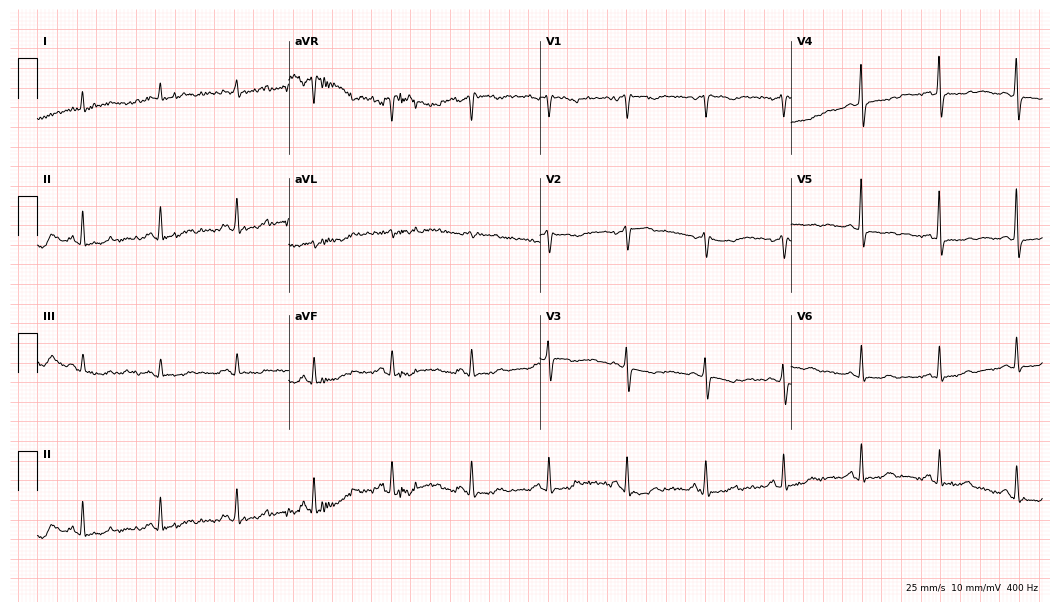
Resting 12-lead electrocardiogram (10.2-second recording at 400 Hz). Patient: a female, 58 years old. None of these six findings is recorded: first-degree AV block, right bundle branch block, left bundle branch block, sinus bradycardia, atrial fibrillation, sinus tachycardia. Other findings, if any, are not listed.